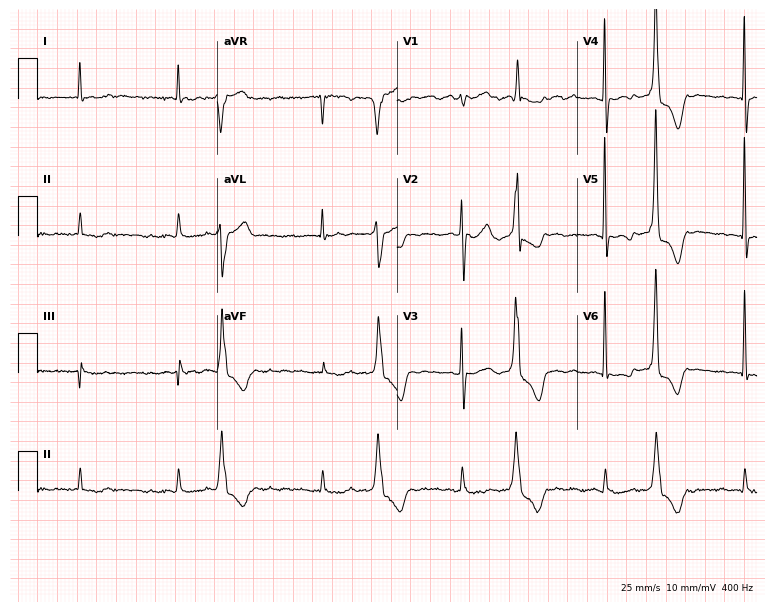
12-lead ECG from an 85-year-old female patient (7.3-second recording at 400 Hz). Shows atrial fibrillation (AF).